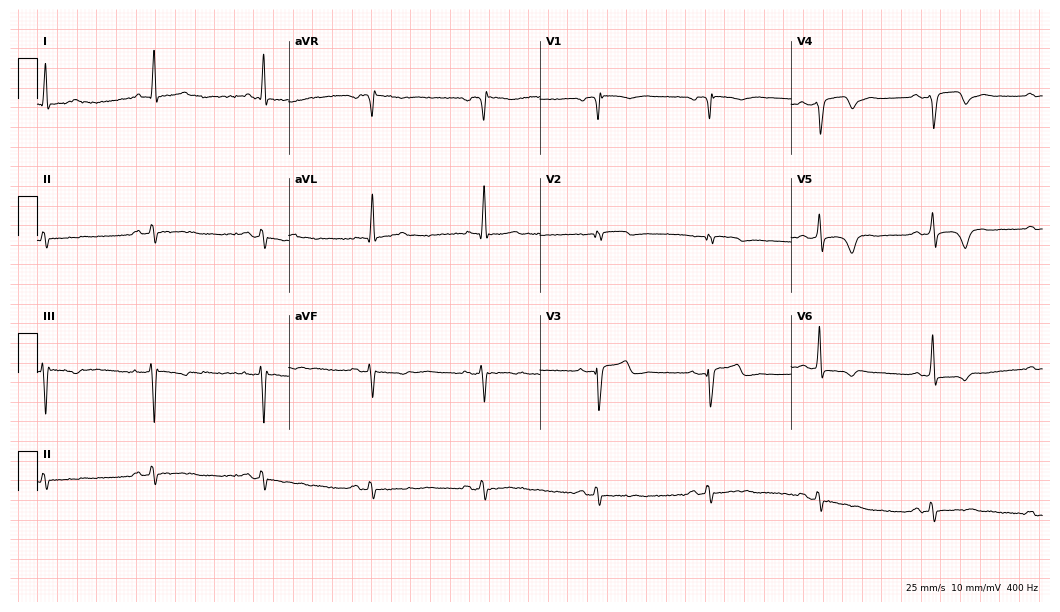
ECG (10.2-second recording at 400 Hz) — a male patient, 75 years old. Screened for six findings — first-degree AV block, right bundle branch block (RBBB), left bundle branch block (LBBB), sinus bradycardia, atrial fibrillation (AF), sinus tachycardia — none is recorded.